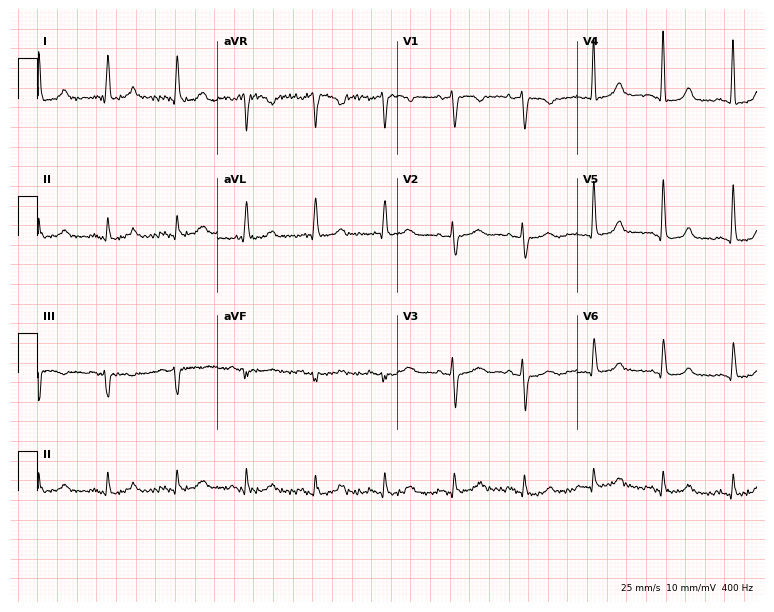
Electrocardiogram (7.3-second recording at 400 Hz), a female, 74 years old. Overall reading on record: normal ECG.